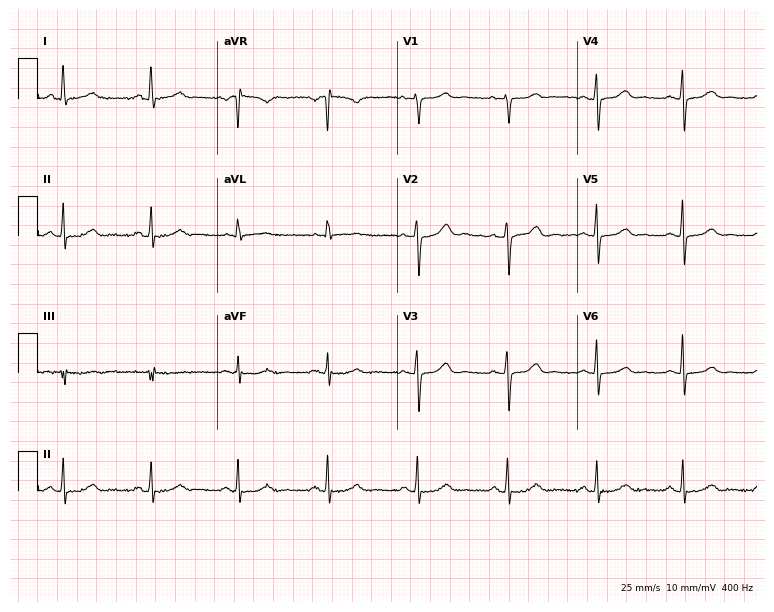
ECG (7.3-second recording at 400 Hz) — a 56-year-old female. Screened for six findings — first-degree AV block, right bundle branch block, left bundle branch block, sinus bradycardia, atrial fibrillation, sinus tachycardia — none is recorded.